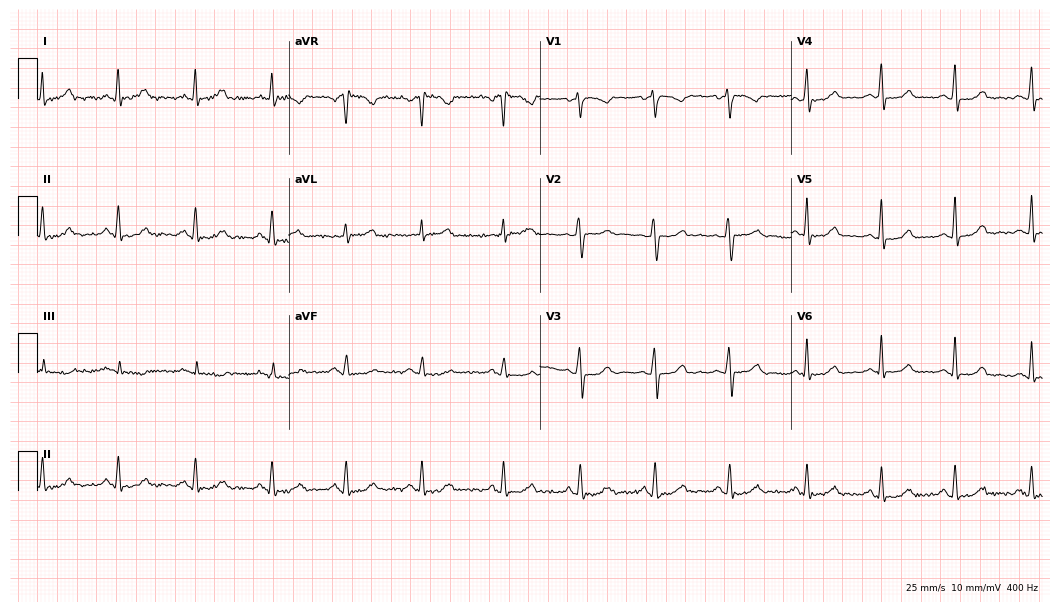
Standard 12-lead ECG recorded from a 37-year-old female. Read as a normal ECG.